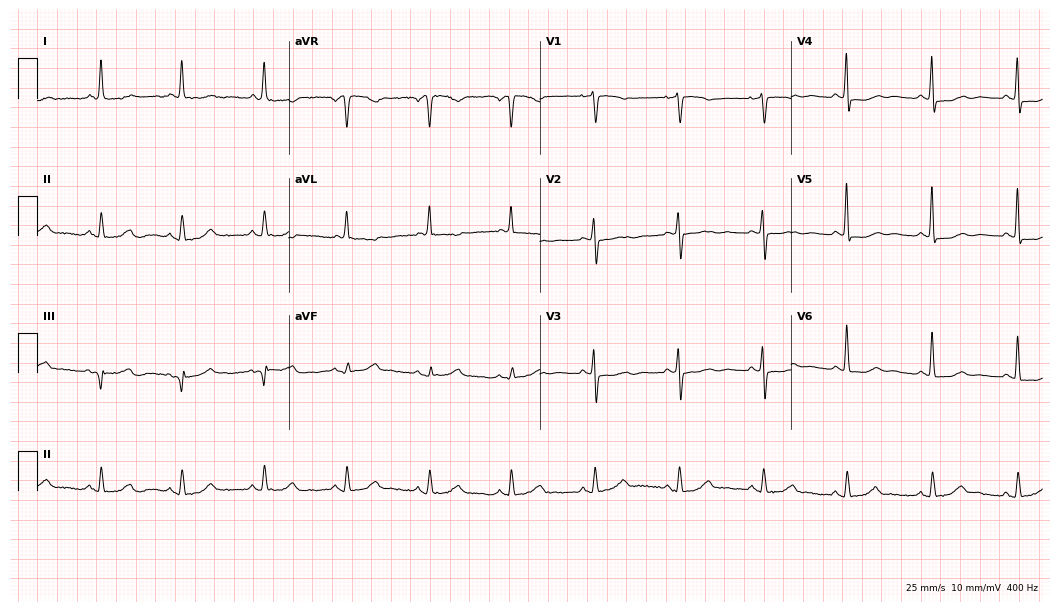
12-lead ECG from a 71-year-old female. Screened for six findings — first-degree AV block, right bundle branch block, left bundle branch block, sinus bradycardia, atrial fibrillation, sinus tachycardia — none is recorded.